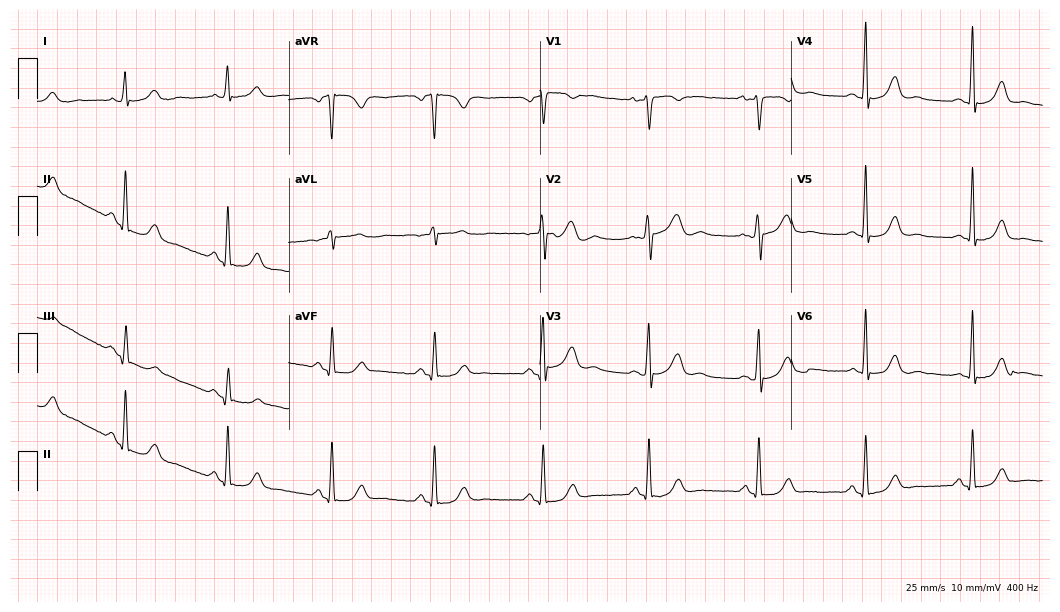
ECG — a 32-year-old woman. Labelled as a normal ECG.